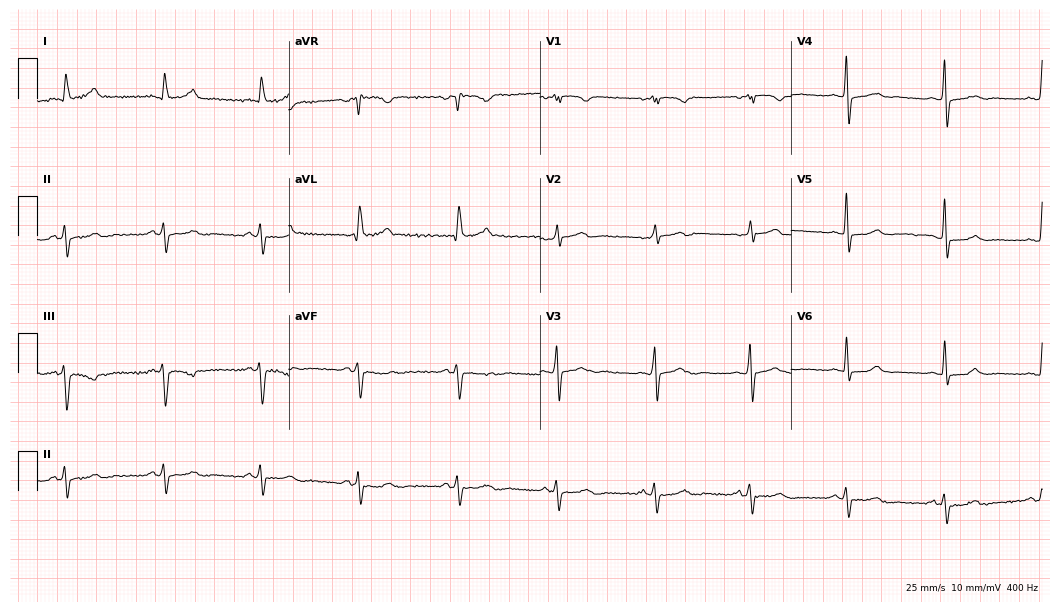
12-lead ECG from a 66-year-old man (10.2-second recording at 400 Hz). No first-degree AV block, right bundle branch block (RBBB), left bundle branch block (LBBB), sinus bradycardia, atrial fibrillation (AF) or sinus tachycardia recorded for this tracing.